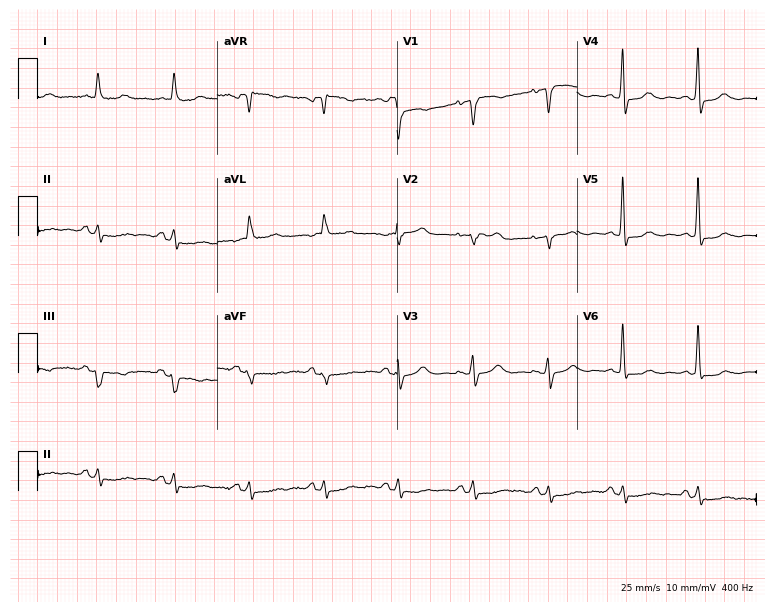
Electrocardiogram, a woman, 82 years old. Of the six screened findings (first-degree AV block, right bundle branch block, left bundle branch block, sinus bradycardia, atrial fibrillation, sinus tachycardia), none is recorded. Other findings, if any, are not listed.